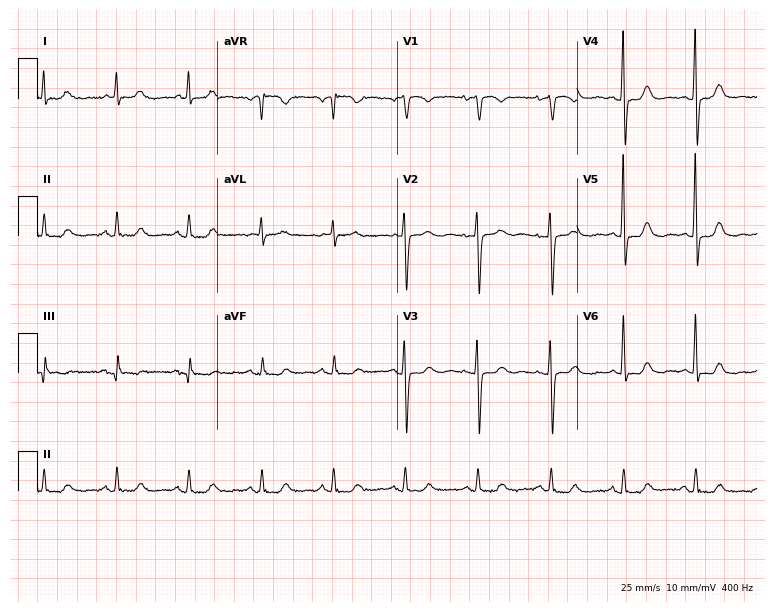
12-lead ECG from a 73-year-old female (7.3-second recording at 400 Hz). No first-degree AV block, right bundle branch block (RBBB), left bundle branch block (LBBB), sinus bradycardia, atrial fibrillation (AF) or sinus tachycardia recorded for this tracing.